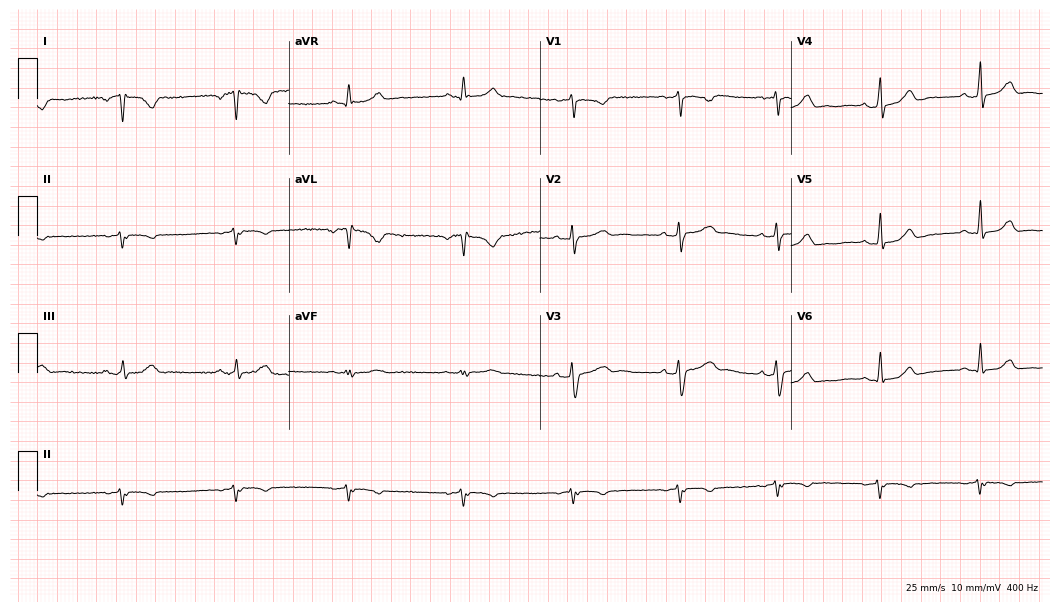
ECG (10.2-second recording at 400 Hz) — a female patient, 33 years old. Screened for six findings — first-degree AV block, right bundle branch block (RBBB), left bundle branch block (LBBB), sinus bradycardia, atrial fibrillation (AF), sinus tachycardia — none is recorded.